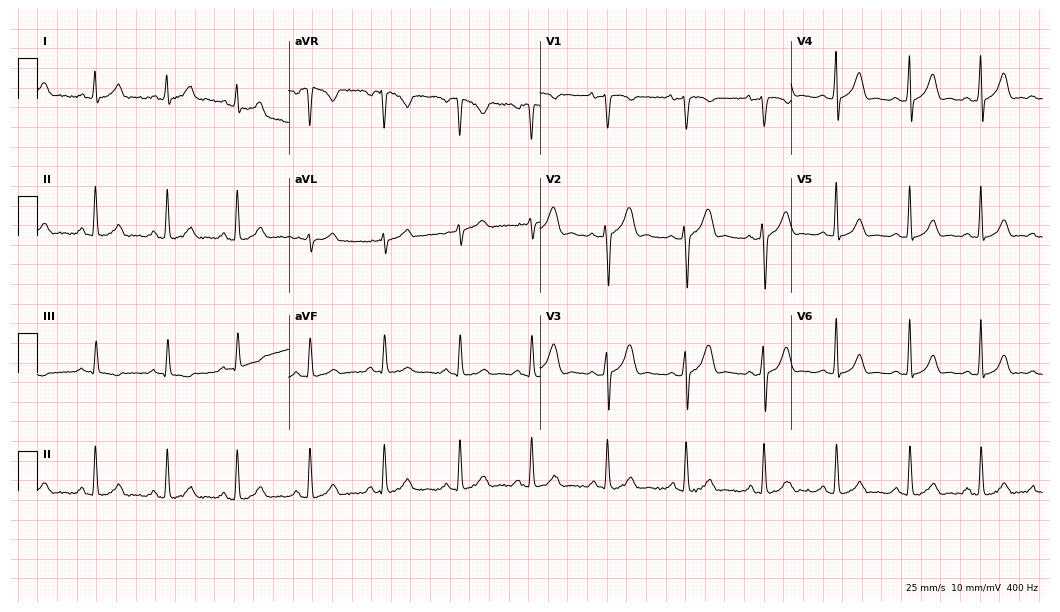
12-lead ECG from a 27-year-old woman (10.2-second recording at 400 Hz). Recorded interpretation: within normal limits.